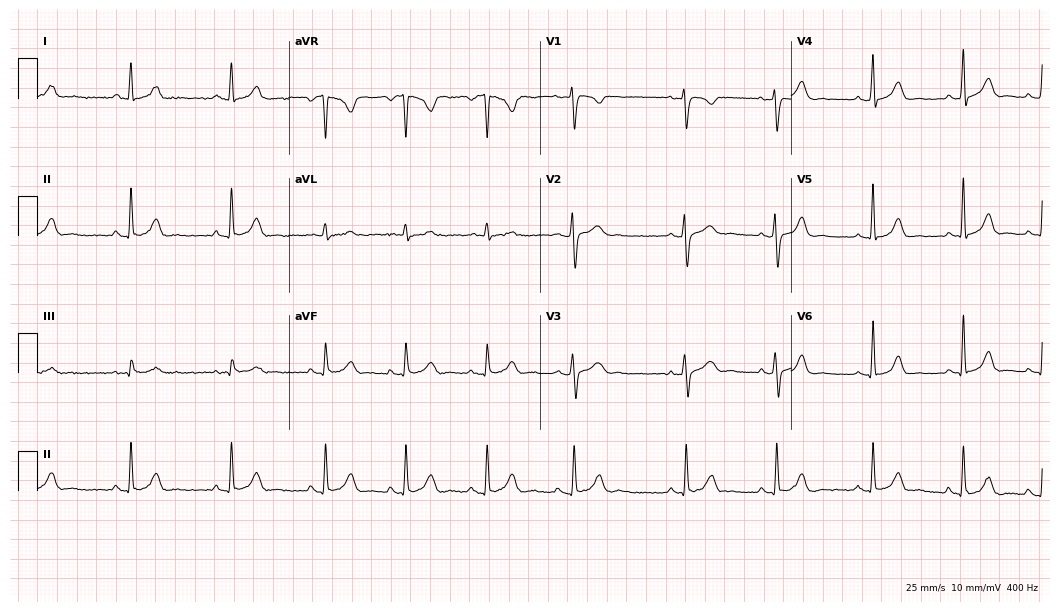
Resting 12-lead electrocardiogram. Patient: a female, 30 years old. Read as a normal ECG.